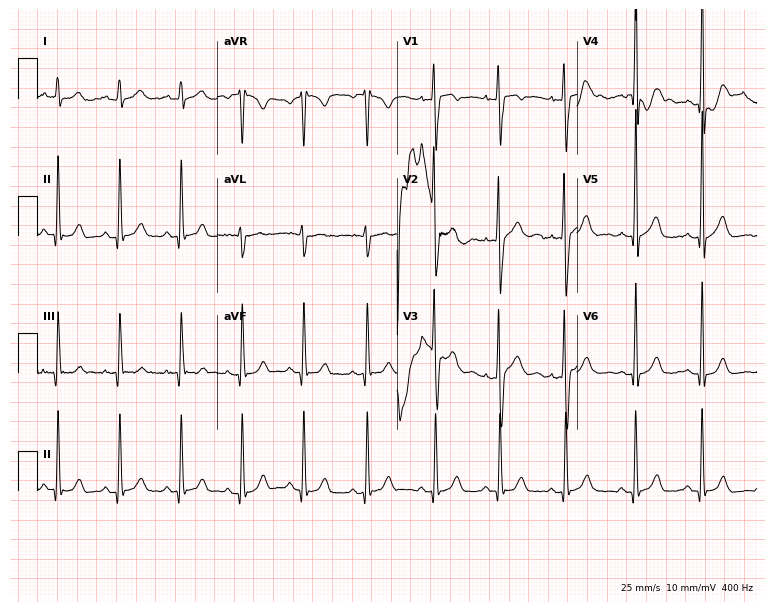
Resting 12-lead electrocardiogram. Patient: a 22-year-old man. Read as a normal ECG.